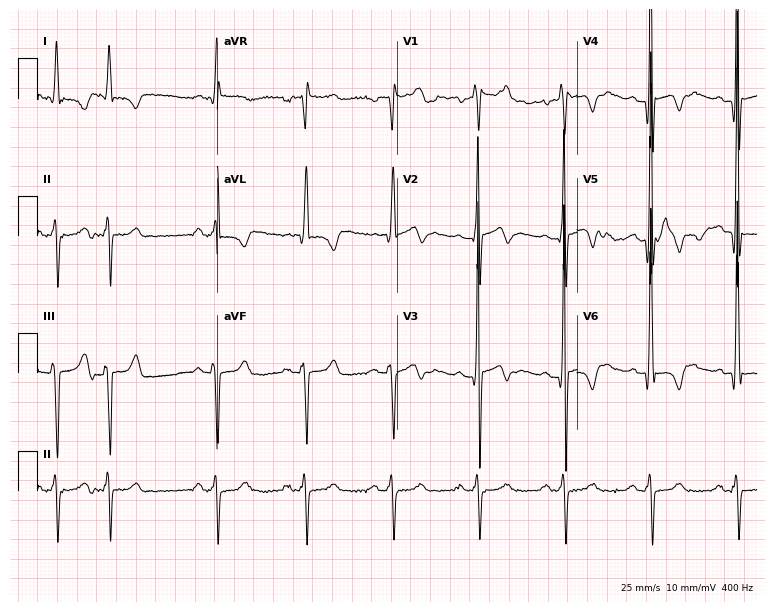
12-lead ECG from a 52-year-old male. Screened for six findings — first-degree AV block, right bundle branch block, left bundle branch block, sinus bradycardia, atrial fibrillation, sinus tachycardia — none is recorded.